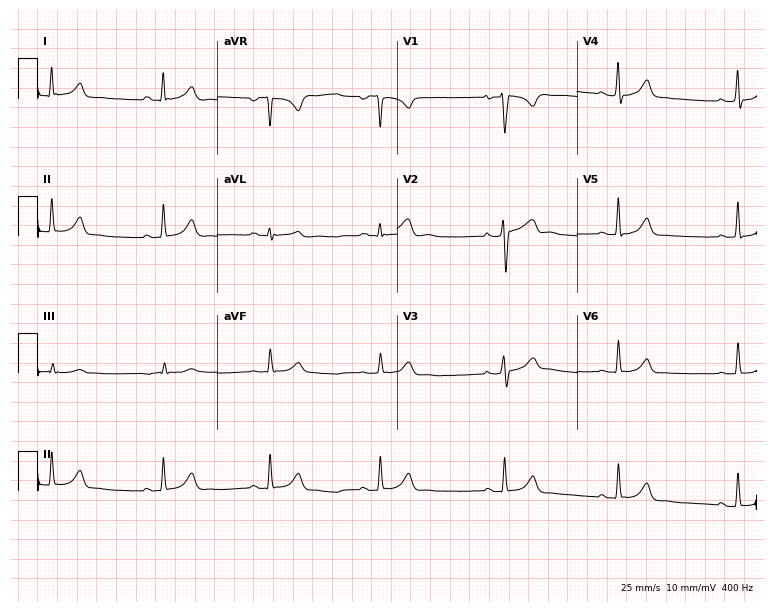
Resting 12-lead electrocardiogram. Patient: a 34-year-old male. None of these six findings is recorded: first-degree AV block, right bundle branch block, left bundle branch block, sinus bradycardia, atrial fibrillation, sinus tachycardia.